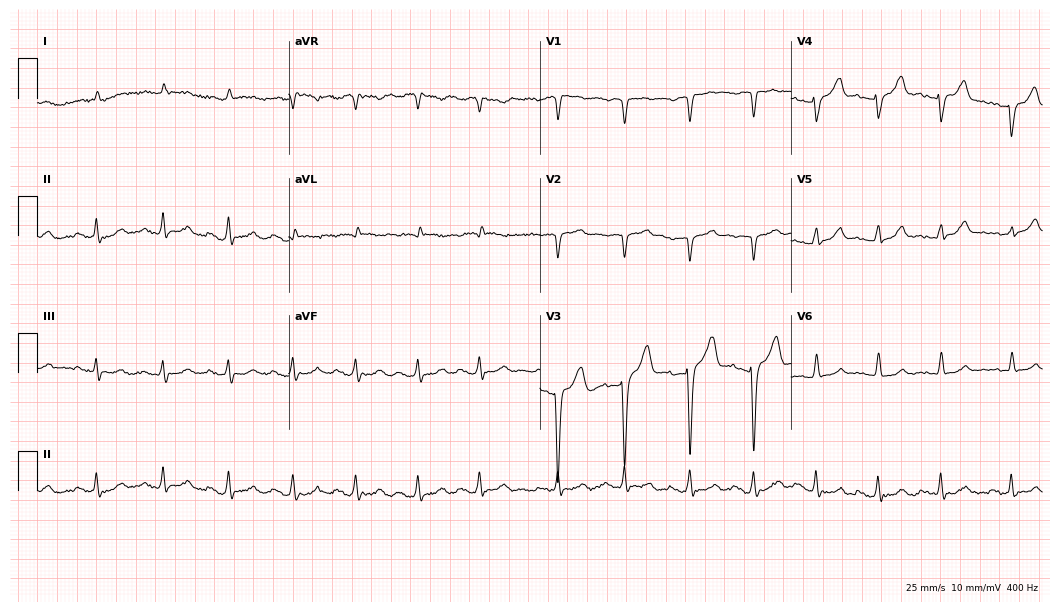
Resting 12-lead electrocardiogram (10.2-second recording at 400 Hz). Patient: a male, 59 years old. None of these six findings is recorded: first-degree AV block, right bundle branch block (RBBB), left bundle branch block (LBBB), sinus bradycardia, atrial fibrillation (AF), sinus tachycardia. Other findings, if any, are not listed.